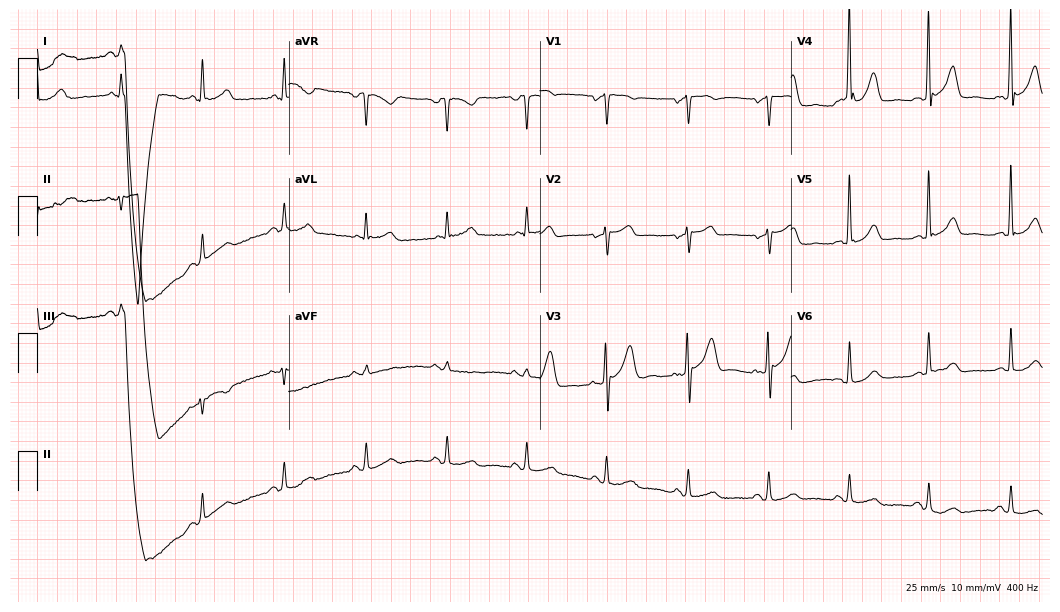
ECG (10.2-second recording at 400 Hz) — a female patient, 70 years old. Labelled as a normal ECG.